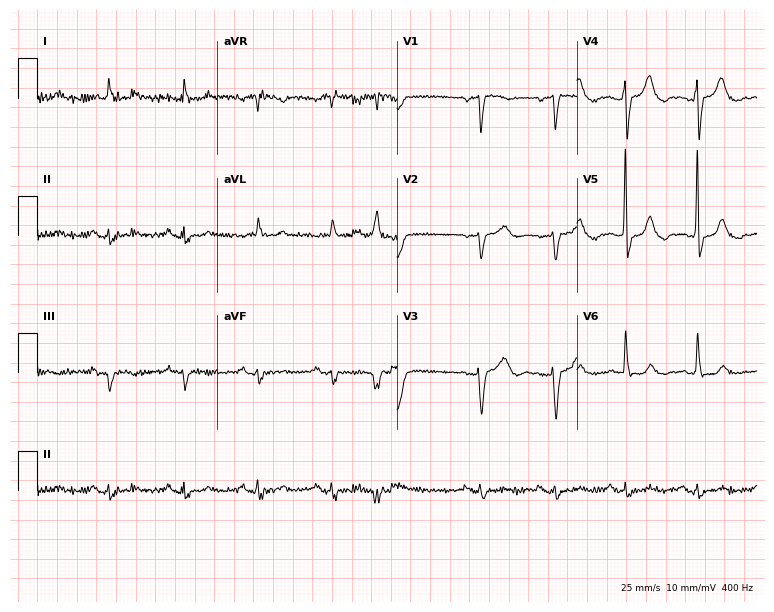
Electrocardiogram, a 79-year-old female patient. Overall reading on record: normal ECG.